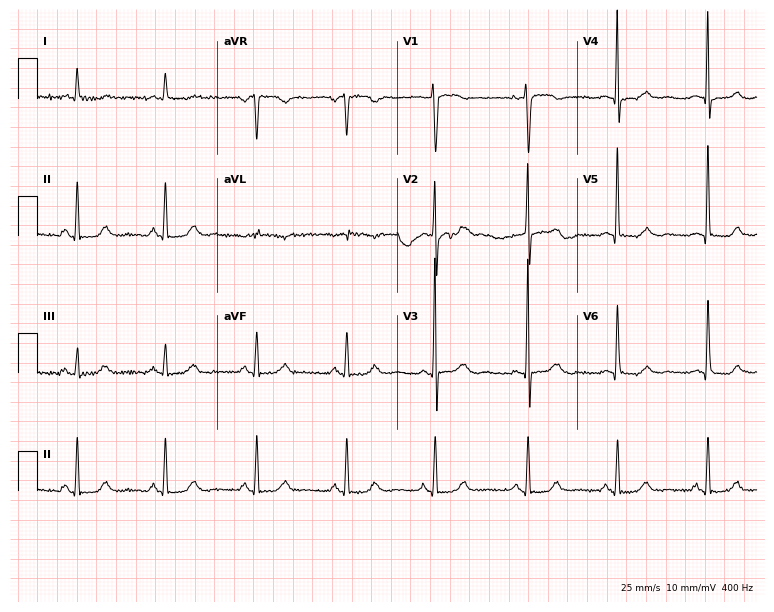
ECG (7.3-second recording at 400 Hz) — a 56-year-old woman. Labelled as a normal ECG.